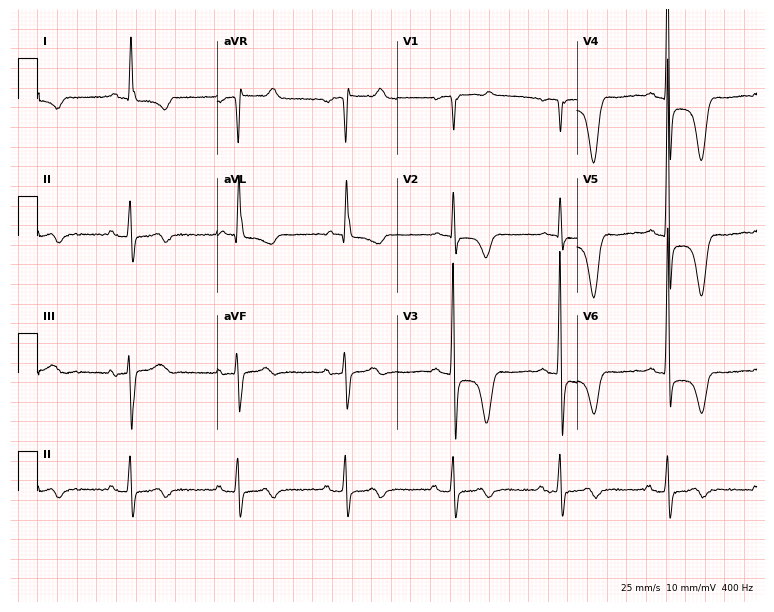
12-lead ECG from a woman, 72 years old (7.3-second recording at 400 Hz). Recorded interpretation: within normal limits.